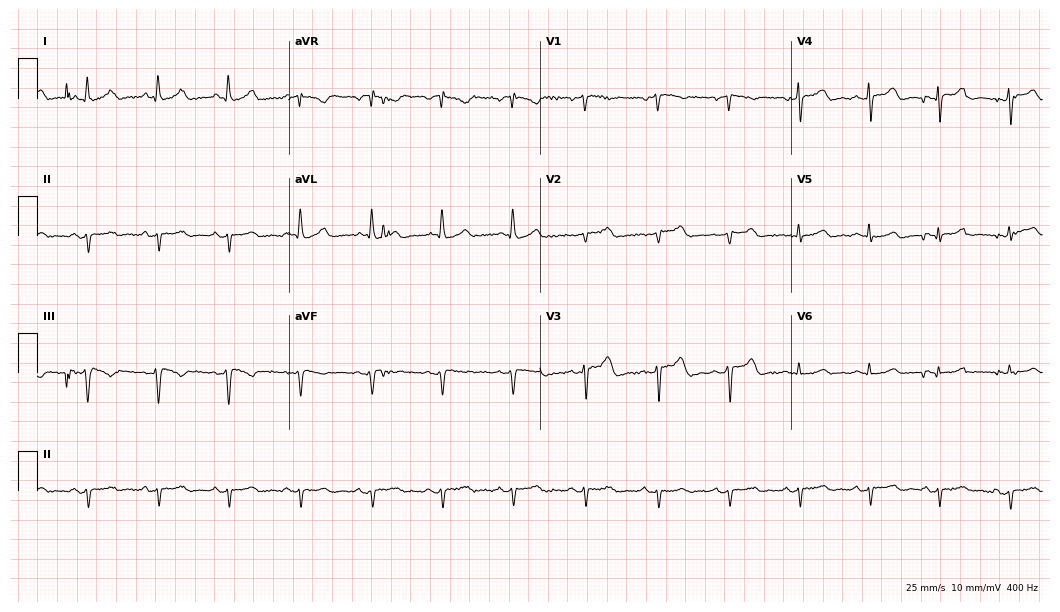
Resting 12-lead electrocardiogram. Patient: a woman, 69 years old. None of these six findings is recorded: first-degree AV block, right bundle branch block (RBBB), left bundle branch block (LBBB), sinus bradycardia, atrial fibrillation (AF), sinus tachycardia.